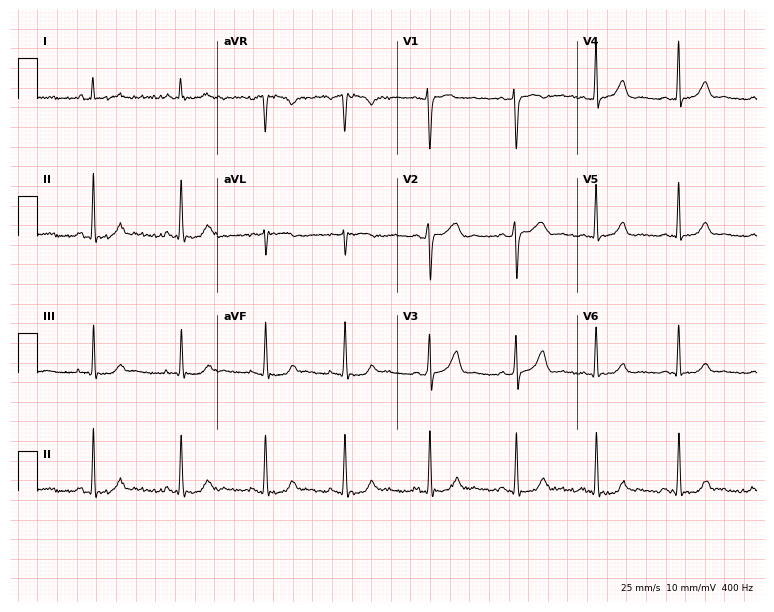
12-lead ECG from a female patient, 32 years old (7.3-second recording at 400 Hz). No first-degree AV block, right bundle branch block (RBBB), left bundle branch block (LBBB), sinus bradycardia, atrial fibrillation (AF) or sinus tachycardia recorded for this tracing. Only these six findings were labelled.